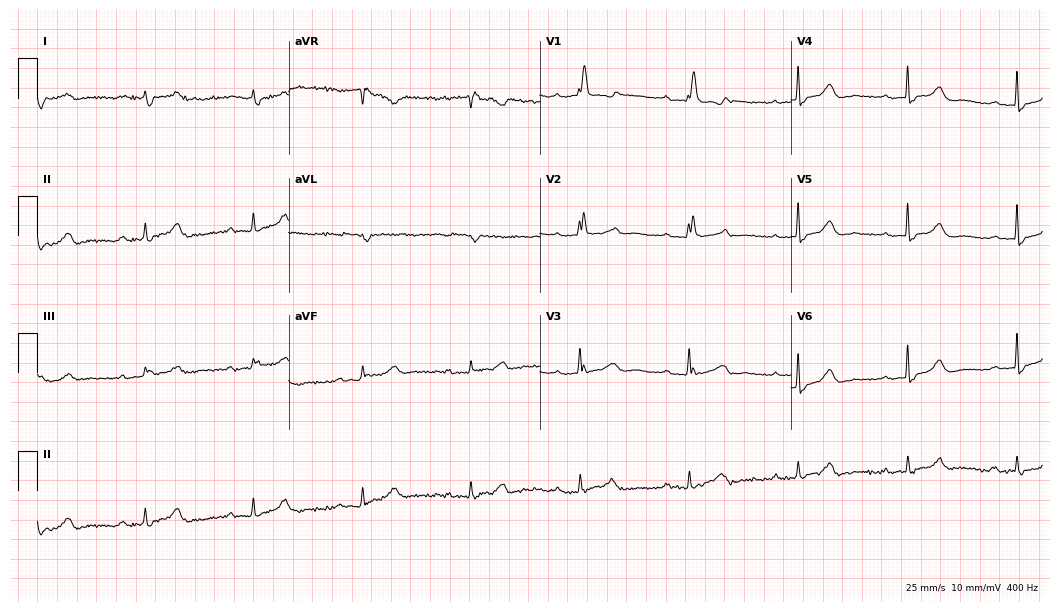
ECG — an 82-year-old female. Findings include first-degree AV block, right bundle branch block (RBBB).